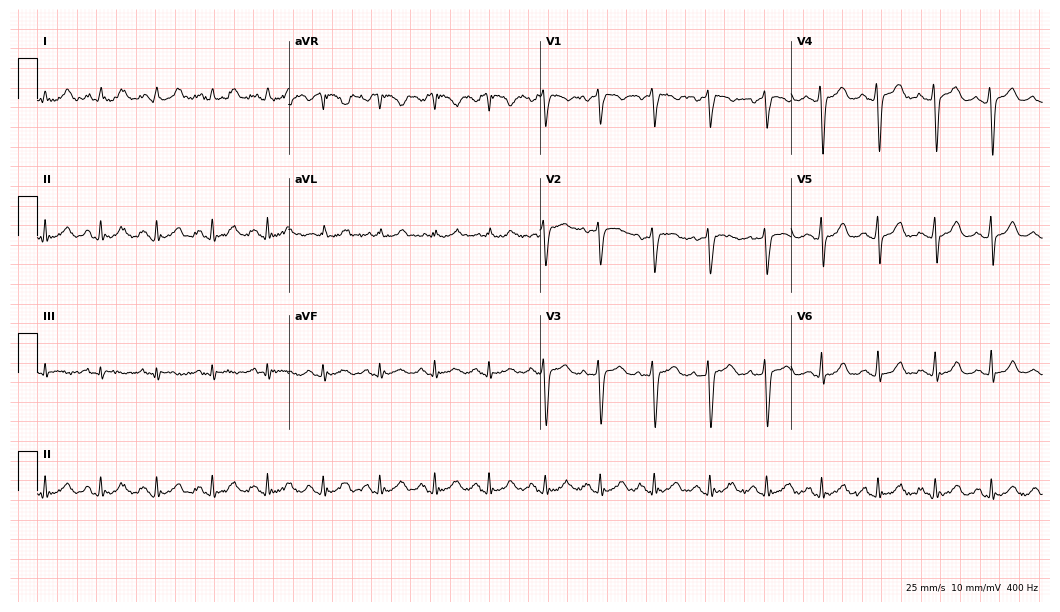
ECG (10.2-second recording at 400 Hz) — a female, 23 years old. Findings include sinus tachycardia (a sinus rate of 100 beats per minute or more).